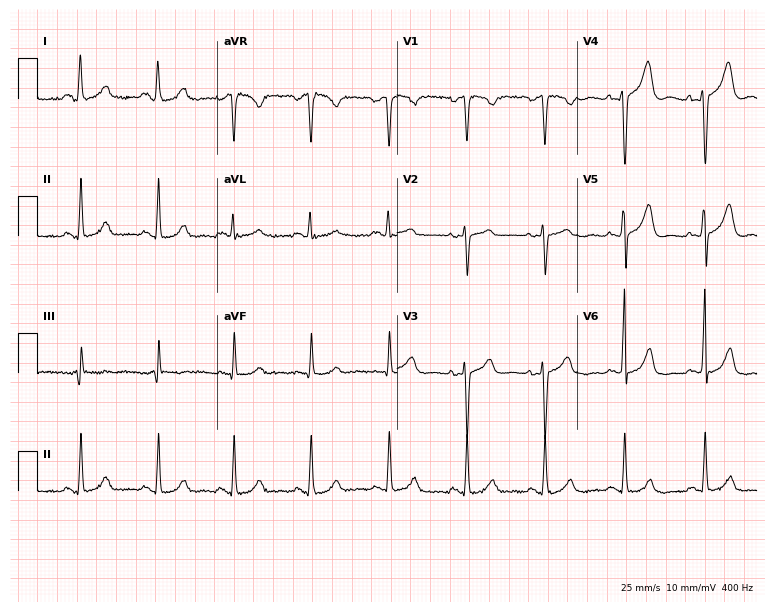
ECG (7.3-second recording at 400 Hz) — a woman, 41 years old. Labelled as a normal ECG.